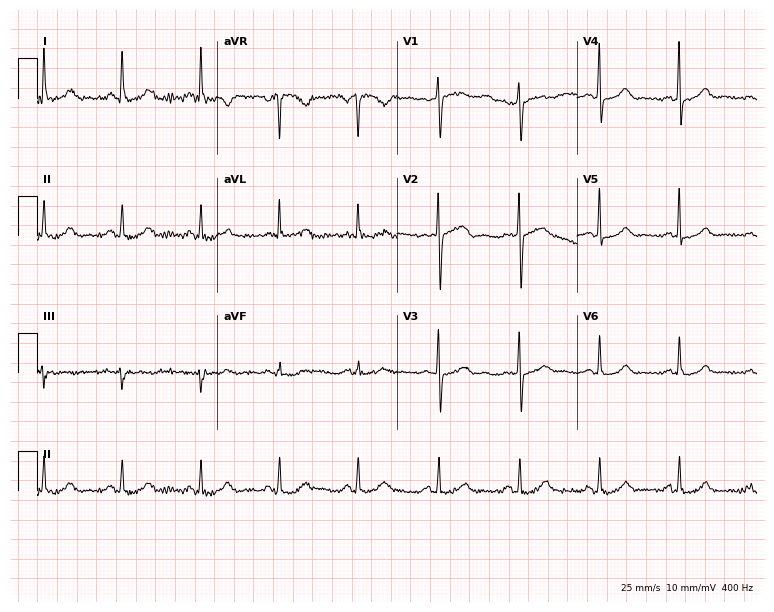
Electrocardiogram, a female, 56 years old. Overall reading on record: normal ECG.